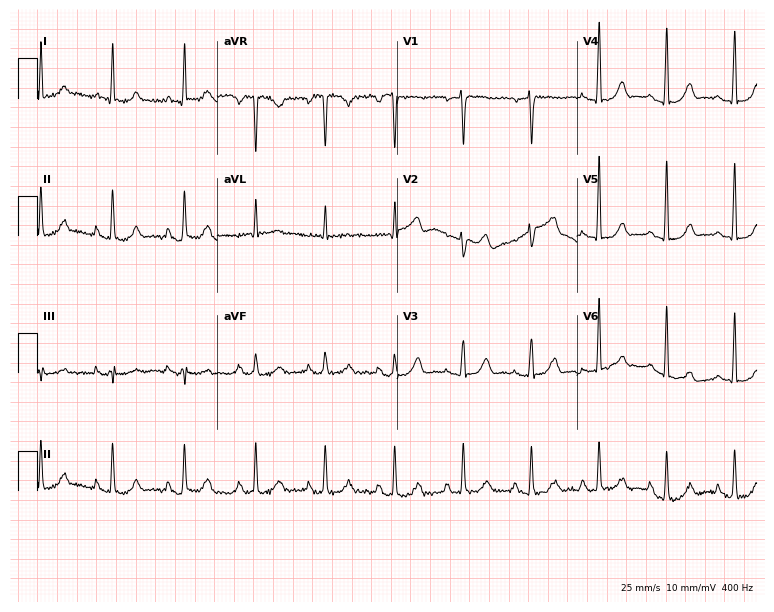
12-lead ECG from a female patient, 73 years old. No first-degree AV block, right bundle branch block (RBBB), left bundle branch block (LBBB), sinus bradycardia, atrial fibrillation (AF) or sinus tachycardia recorded for this tracing.